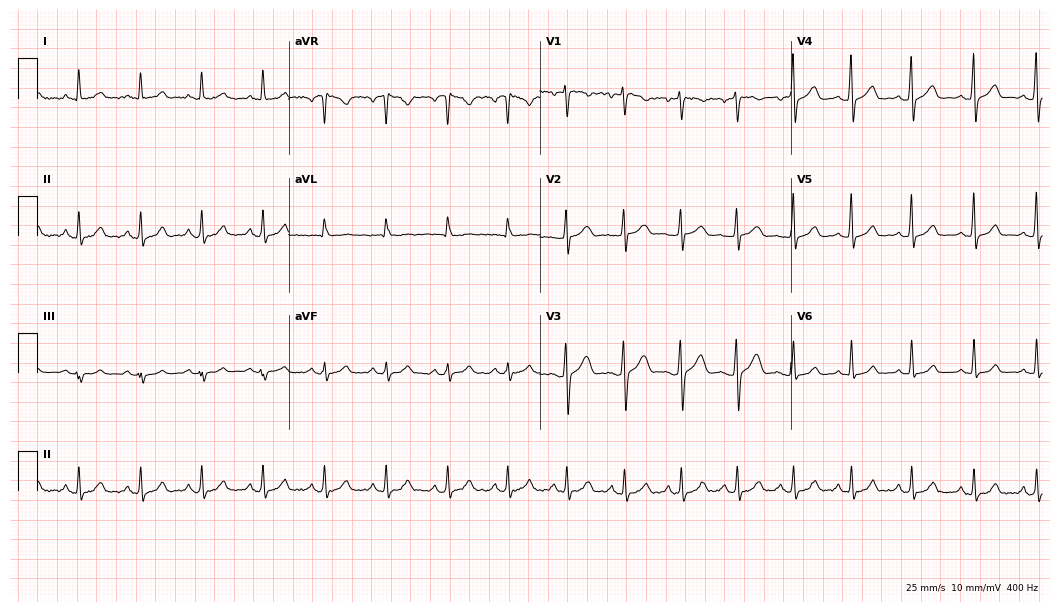
ECG (10.2-second recording at 400 Hz) — a woman, 39 years old. Labelled as a normal ECG.